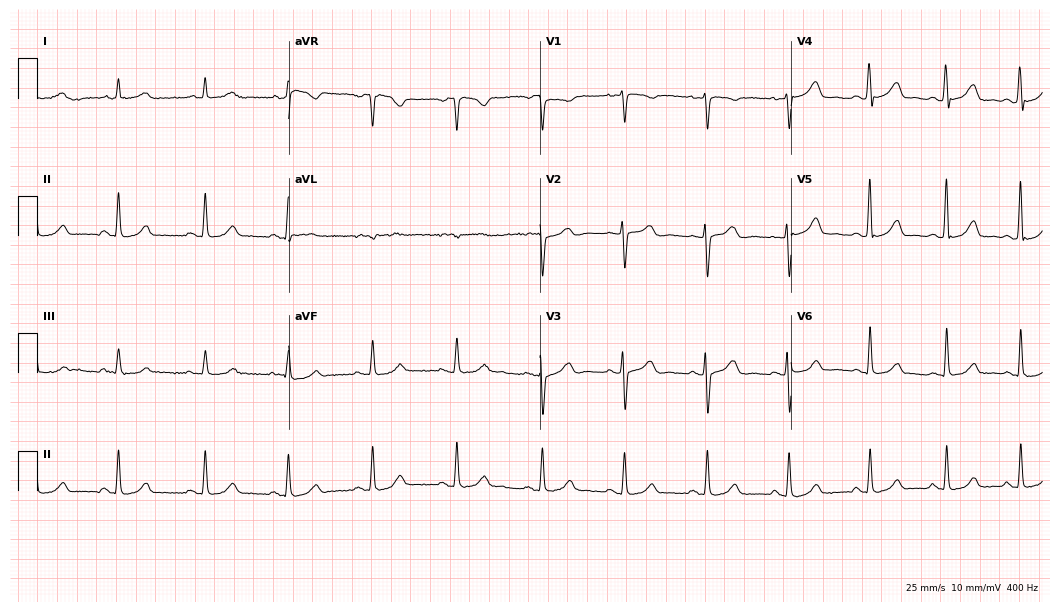
ECG — a 41-year-old female. Labelled as a normal ECG.